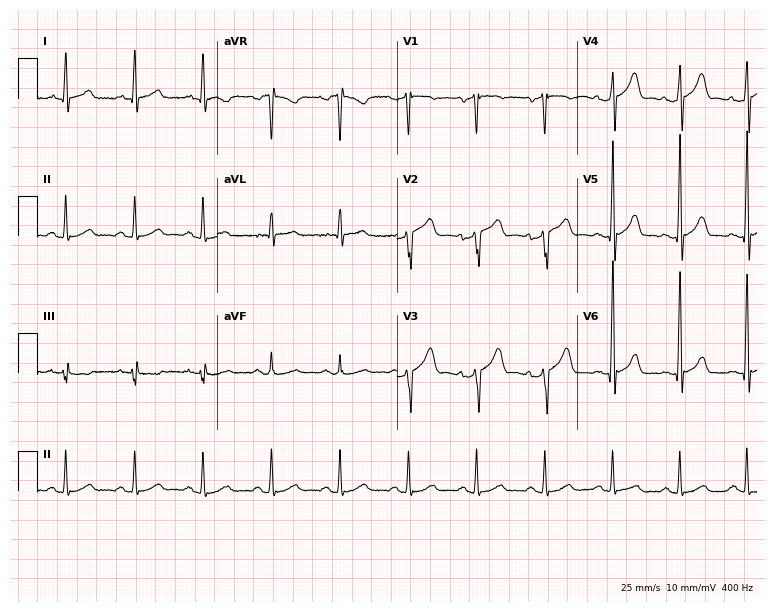
12-lead ECG from a 60-year-old man. Screened for six findings — first-degree AV block, right bundle branch block, left bundle branch block, sinus bradycardia, atrial fibrillation, sinus tachycardia — none is recorded.